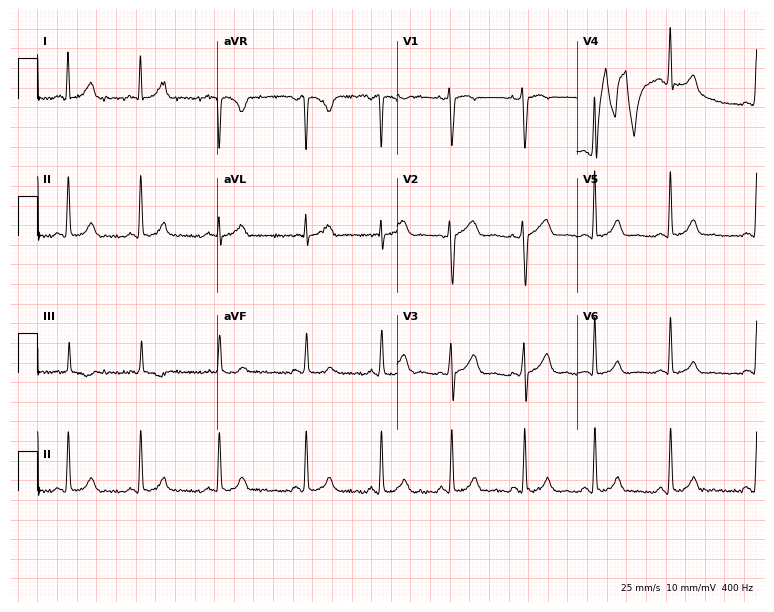
Electrocardiogram, a female, 28 years old. Of the six screened findings (first-degree AV block, right bundle branch block, left bundle branch block, sinus bradycardia, atrial fibrillation, sinus tachycardia), none is recorded. Only these six findings were labelled.